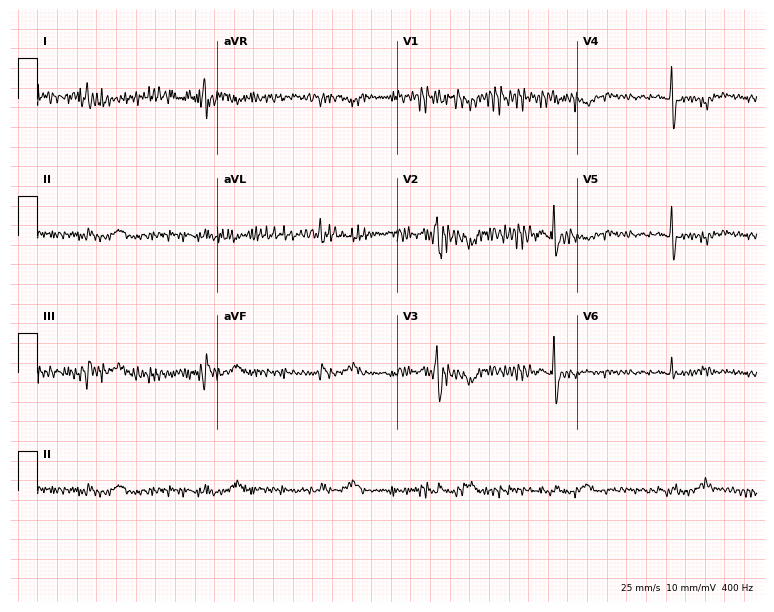
12-lead ECG from a female patient, 75 years old (7.3-second recording at 400 Hz). No first-degree AV block, right bundle branch block, left bundle branch block, sinus bradycardia, atrial fibrillation or sinus tachycardia recorded for this tracing.